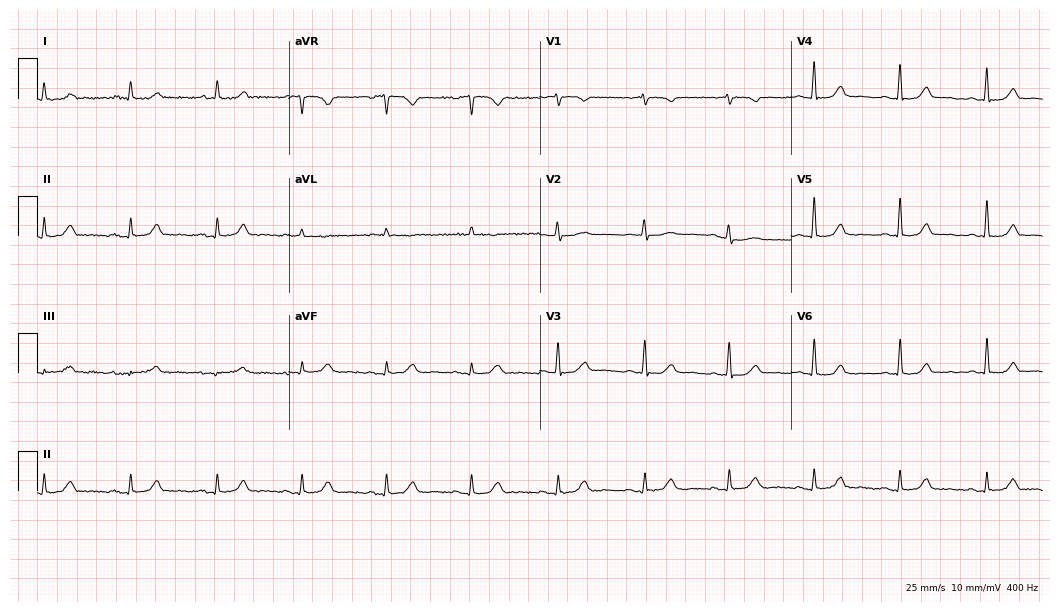
Standard 12-lead ECG recorded from a 68-year-old woman (10.2-second recording at 400 Hz). Read as a normal ECG.